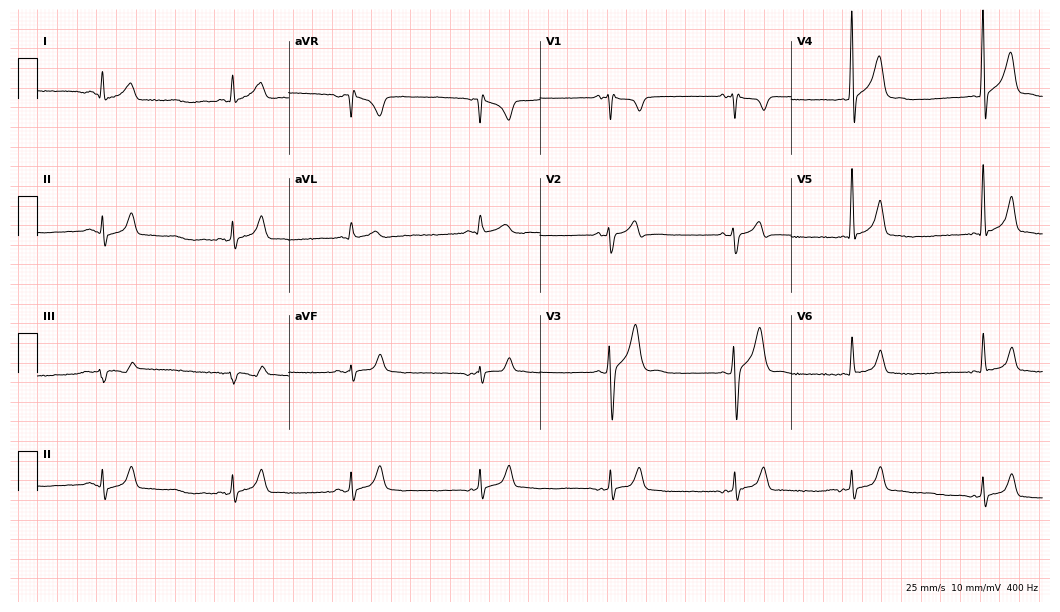
12-lead ECG from a 30-year-old male patient (10.2-second recording at 400 Hz). Shows sinus bradycardia (a sinus rate of 50 beats per minute or less).